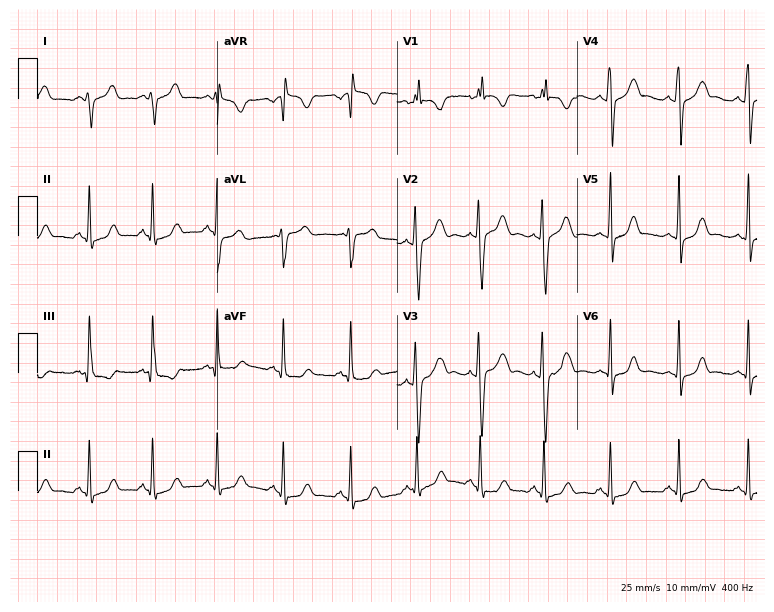
ECG (7.3-second recording at 400 Hz) — a 20-year-old female. Screened for six findings — first-degree AV block, right bundle branch block, left bundle branch block, sinus bradycardia, atrial fibrillation, sinus tachycardia — none is recorded.